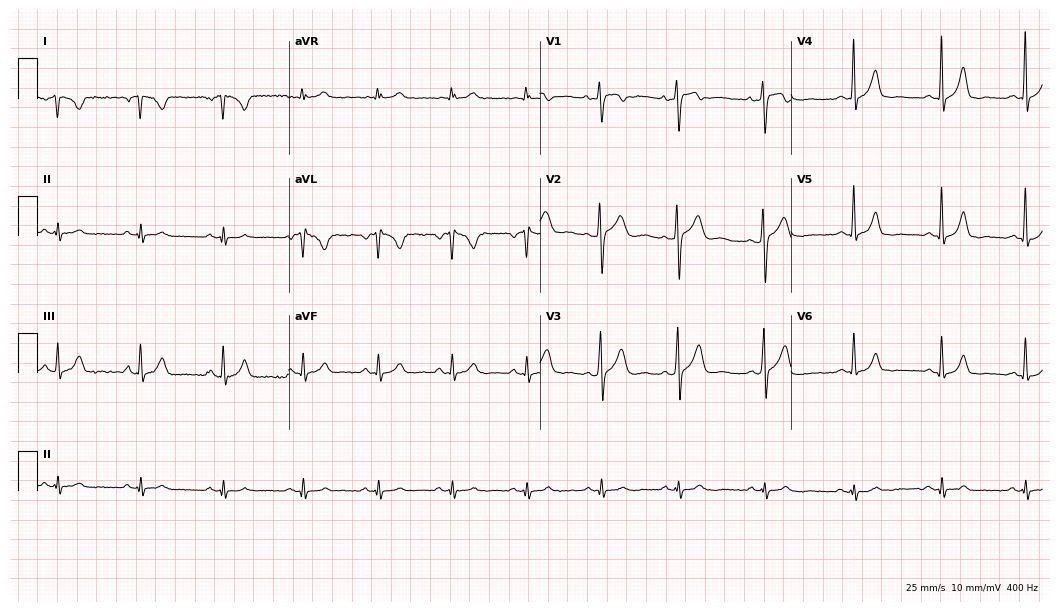
Electrocardiogram (10.2-second recording at 400 Hz), a female, 27 years old. Of the six screened findings (first-degree AV block, right bundle branch block, left bundle branch block, sinus bradycardia, atrial fibrillation, sinus tachycardia), none is recorded. Only these six findings were labelled.